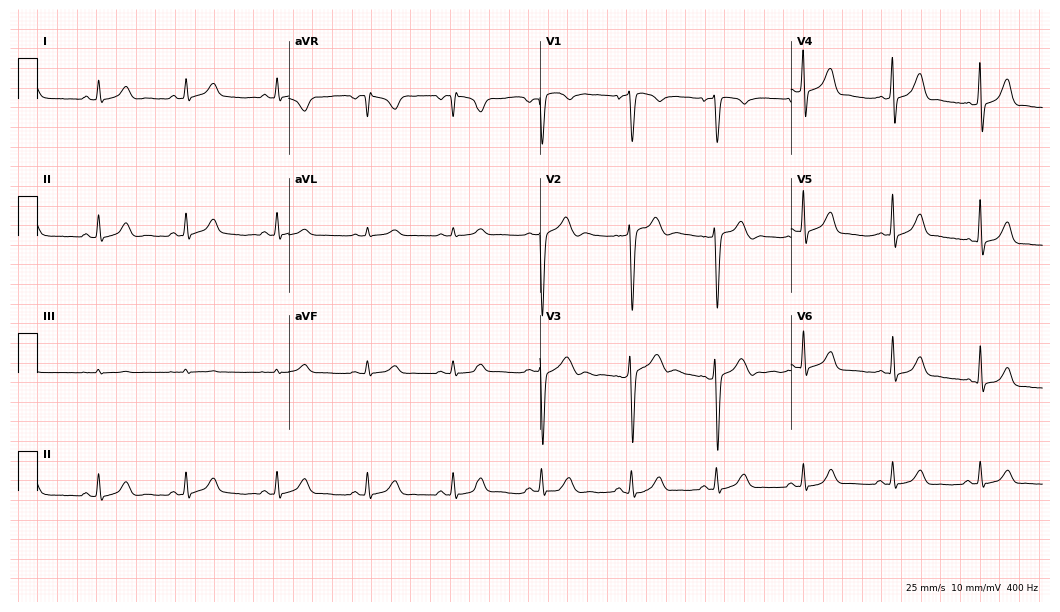
12-lead ECG from a 28-year-old man. Labelled as a normal ECG.